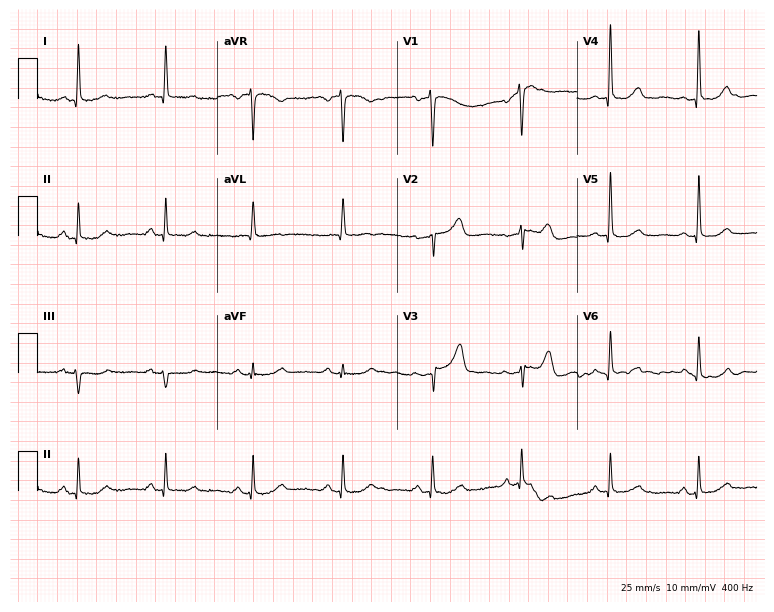
Resting 12-lead electrocardiogram (7.3-second recording at 400 Hz). Patient: a female, 64 years old. Read as a normal ECG.